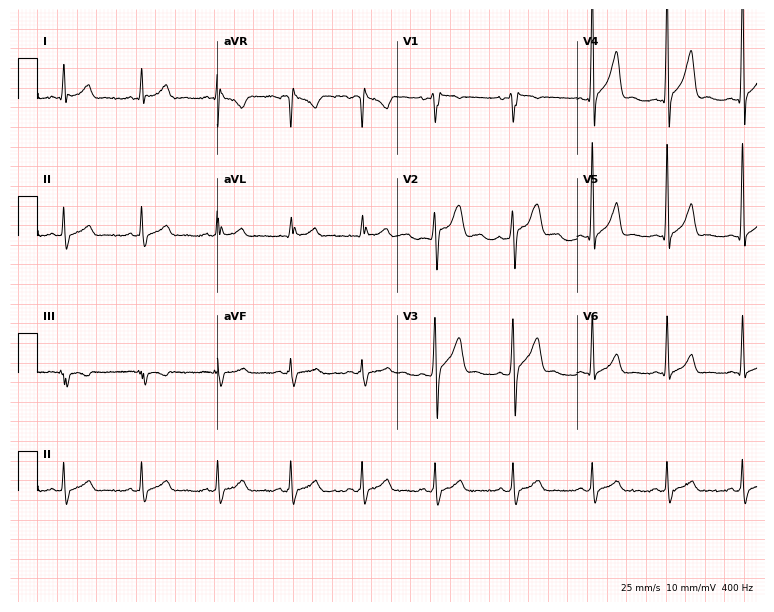
Standard 12-lead ECG recorded from a male, 29 years old (7.3-second recording at 400 Hz). Read as a normal ECG.